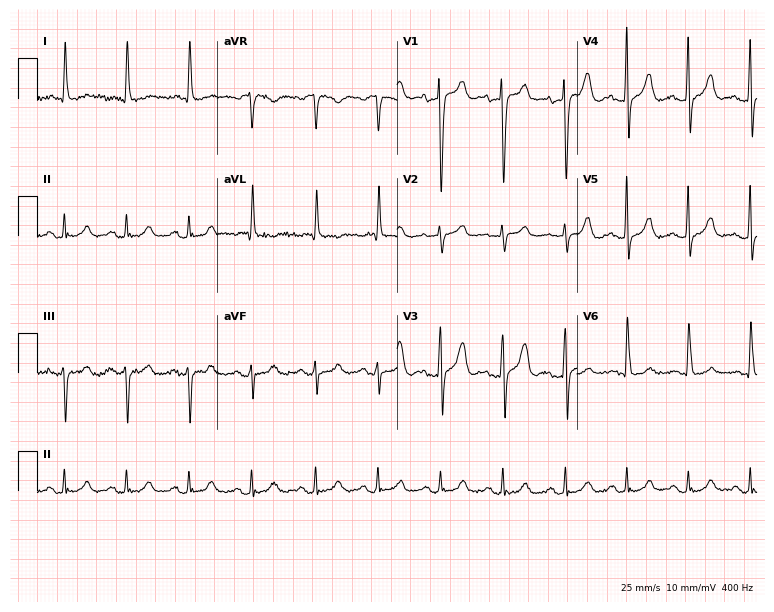
12-lead ECG (7.3-second recording at 400 Hz) from an 84-year-old female. Labelled as a normal ECG.